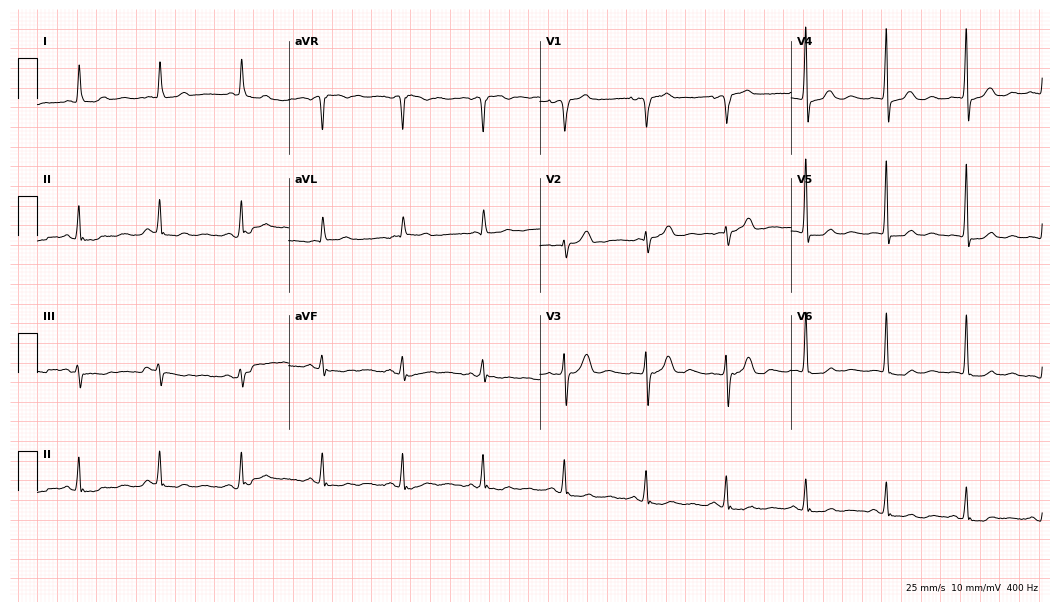
12-lead ECG from a 75-year-old female. Labelled as a normal ECG.